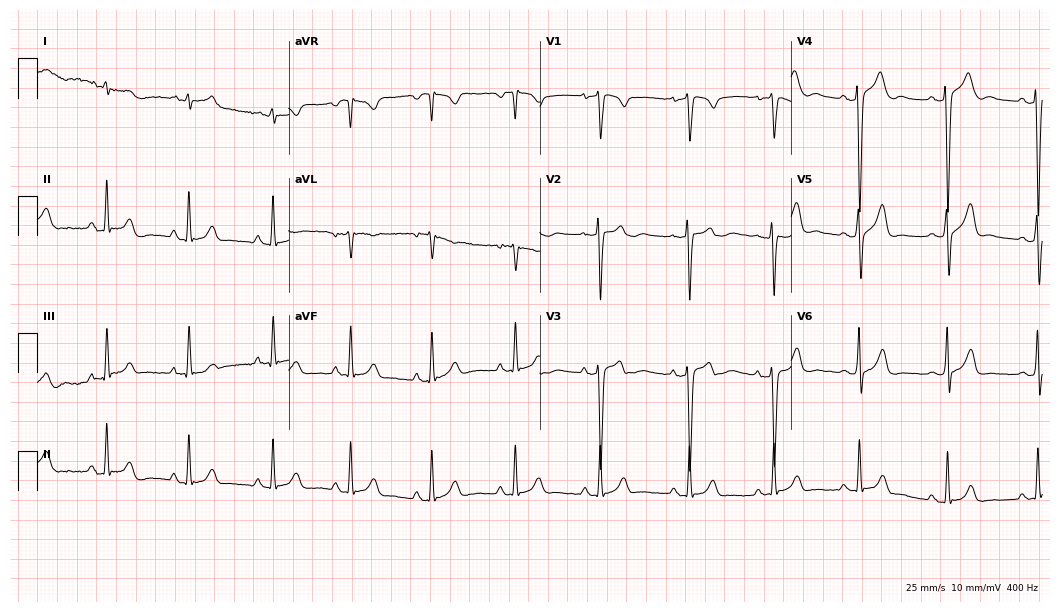
ECG (10.2-second recording at 400 Hz) — a 21-year-old male patient. Labelled as a normal ECG.